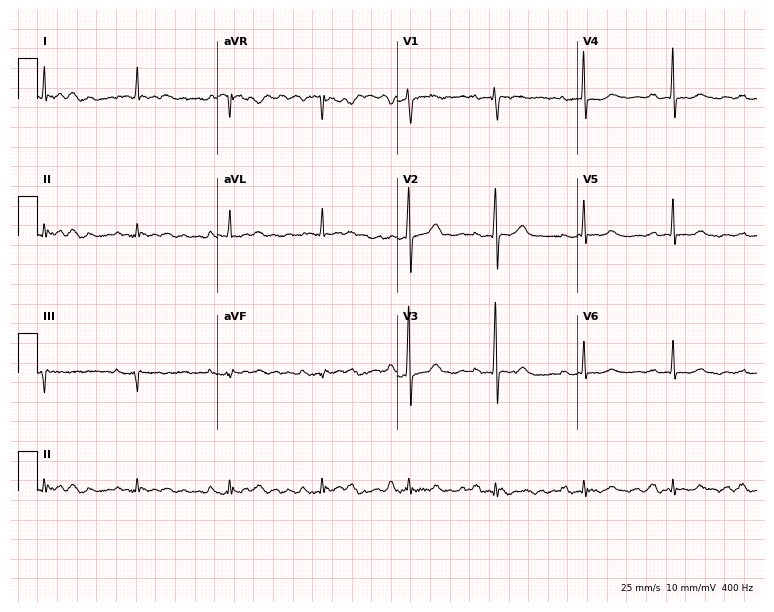
ECG (7.3-second recording at 400 Hz) — a female patient, 79 years old. Screened for six findings — first-degree AV block, right bundle branch block, left bundle branch block, sinus bradycardia, atrial fibrillation, sinus tachycardia — none is recorded. Only these six findings were labelled.